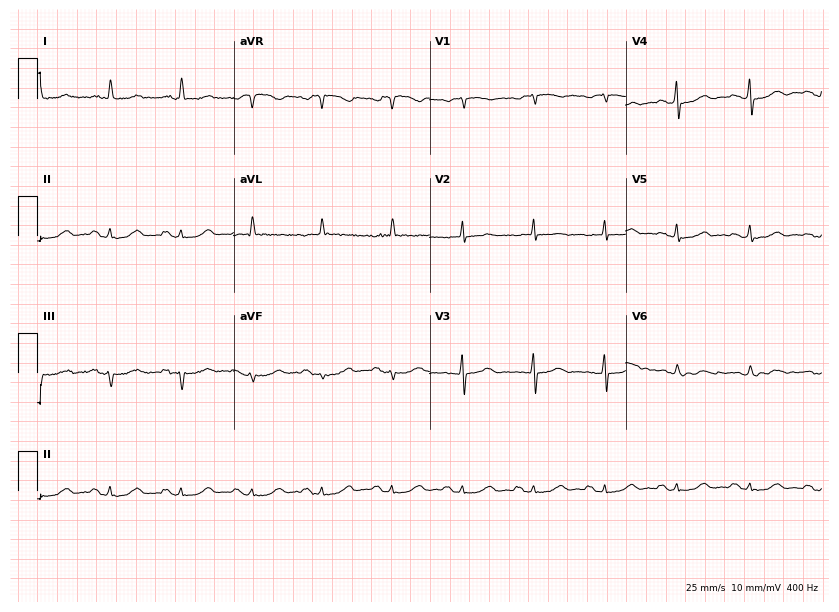
Resting 12-lead electrocardiogram. Patient: a female, 82 years old. None of these six findings is recorded: first-degree AV block, right bundle branch block, left bundle branch block, sinus bradycardia, atrial fibrillation, sinus tachycardia.